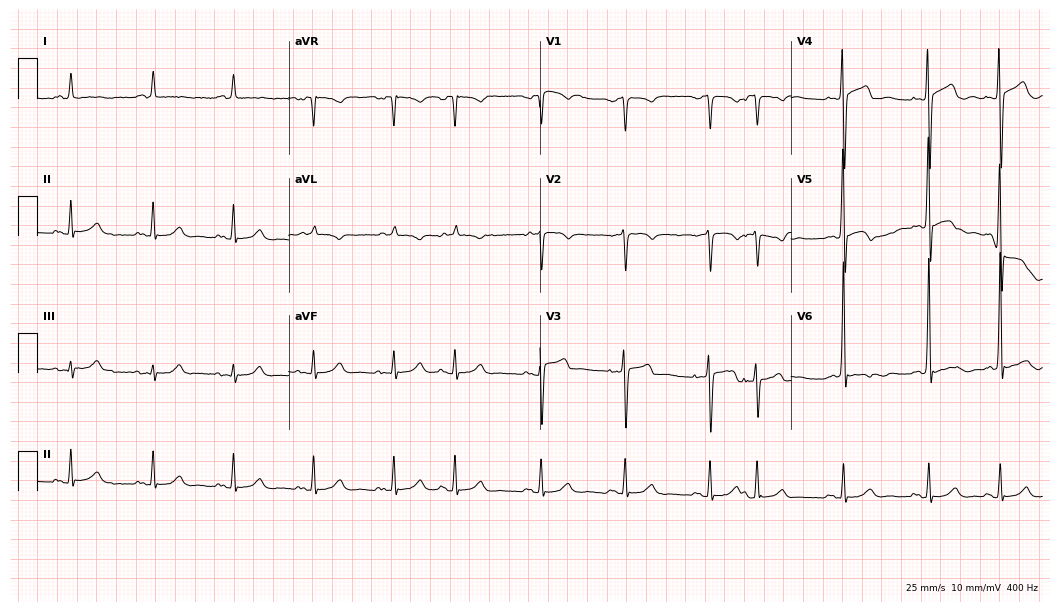
12-lead ECG from a 79-year-old male (10.2-second recording at 400 Hz). Recorded interpretation: within normal limits.